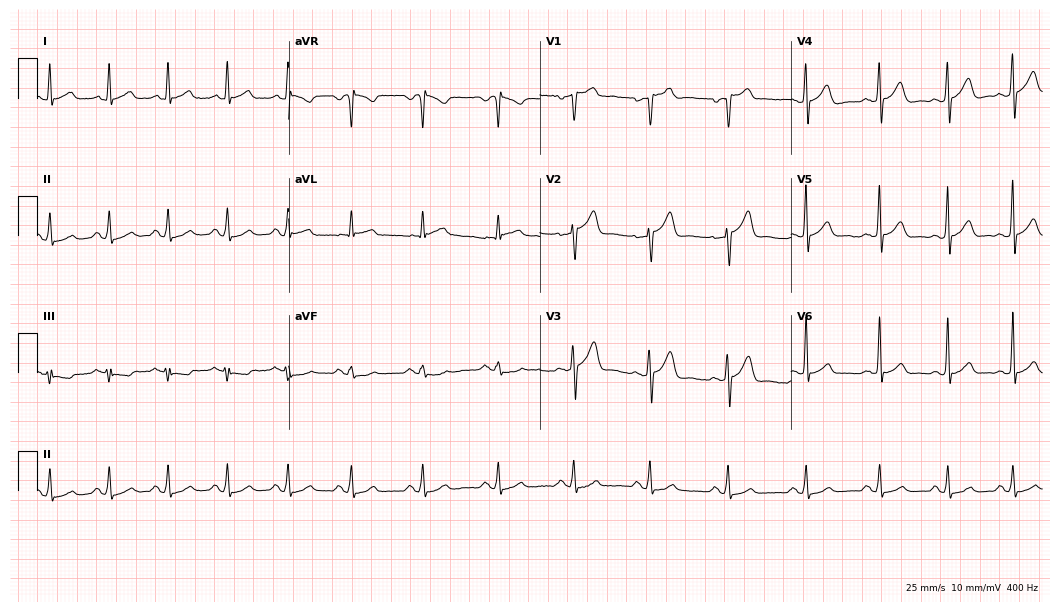
12-lead ECG from a male, 40 years old. Labelled as a normal ECG.